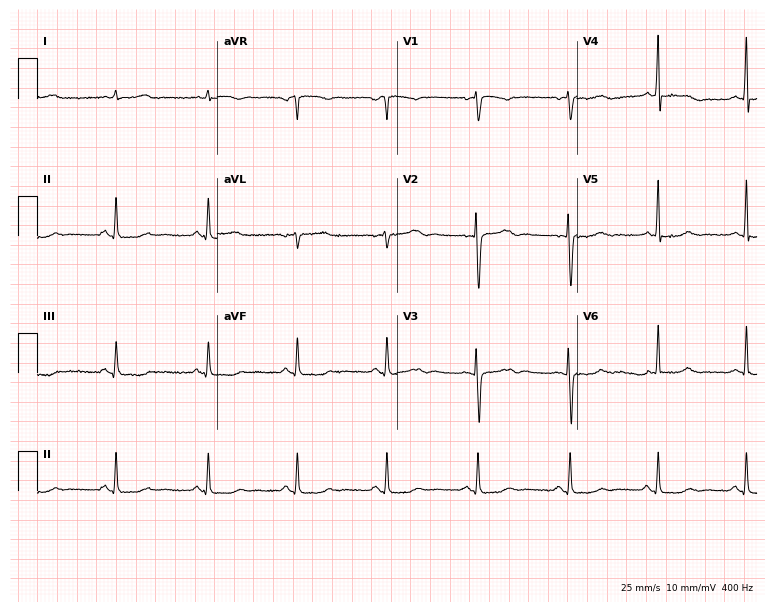
Resting 12-lead electrocardiogram. Patient: a woman, 42 years old. None of these six findings is recorded: first-degree AV block, right bundle branch block (RBBB), left bundle branch block (LBBB), sinus bradycardia, atrial fibrillation (AF), sinus tachycardia. Other findings, if any, are not listed.